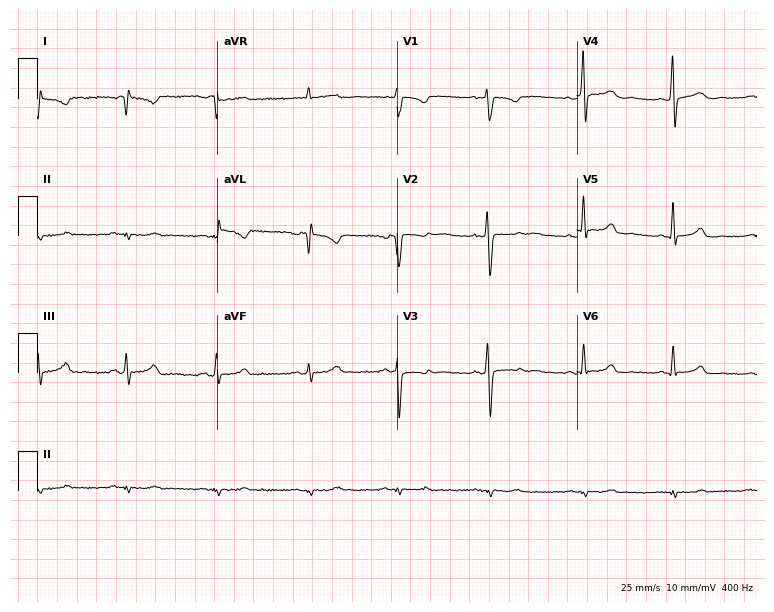
12-lead ECG from a 43-year-old woman. Screened for six findings — first-degree AV block, right bundle branch block, left bundle branch block, sinus bradycardia, atrial fibrillation, sinus tachycardia — none is recorded.